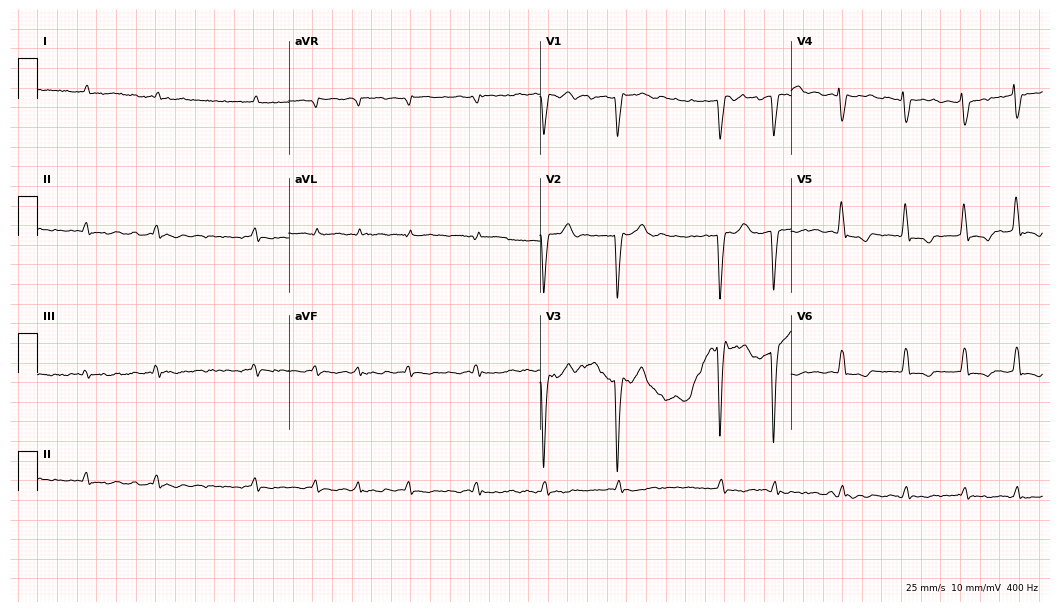
12-lead ECG (10.2-second recording at 400 Hz) from a male patient, 63 years old. Findings include atrial fibrillation (AF).